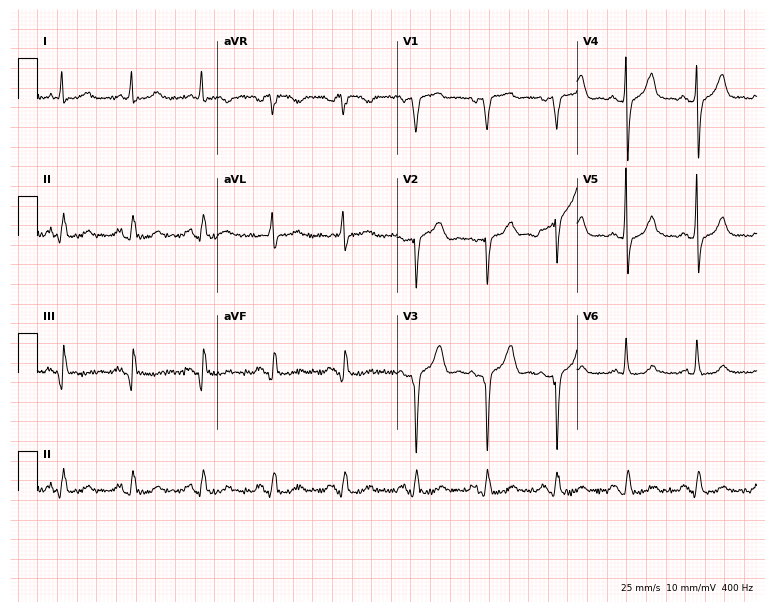
ECG — a female patient, 81 years old. Screened for six findings — first-degree AV block, right bundle branch block (RBBB), left bundle branch block (LBBB), sinus bradycardia, atrial fibrillation (AF), sinus tachycardia — none is recorded. Other findings, if any, are not listed.